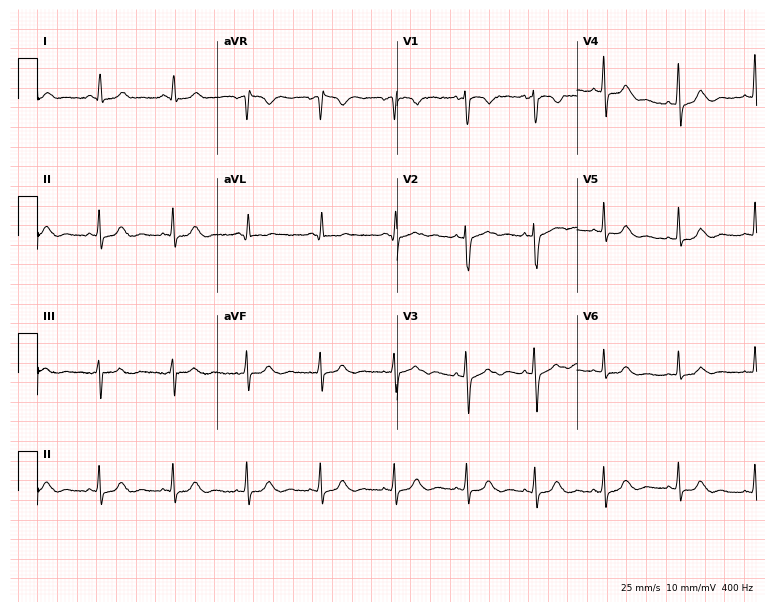
12-lead ECG from a 44-year-old female patient. Recorded interpretation: within normal limits.